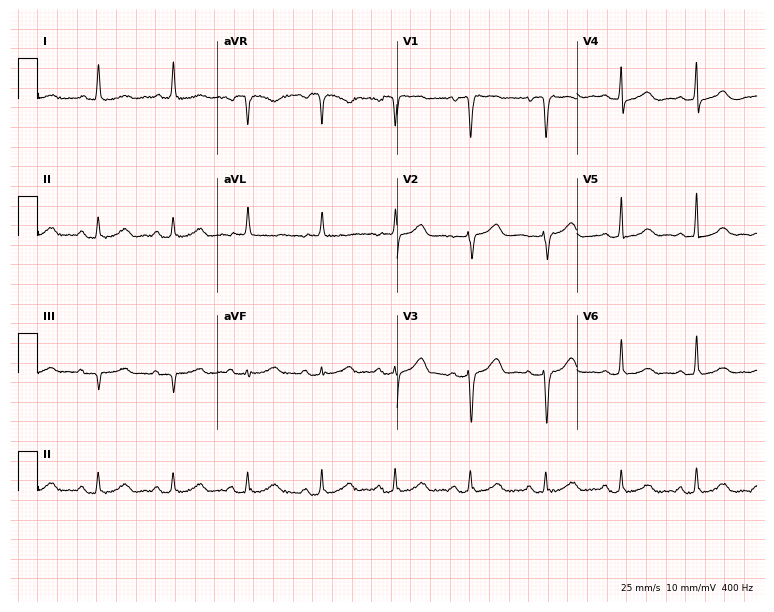
ECG — a woman, 72 years old. Screened for six findings — first-degree AV block, right bundle branch block, left bundle branch block, sinus bradycardia, atrial fibrillation, sinus tachycardia — none is recorded. Findings outside these six are not listed.